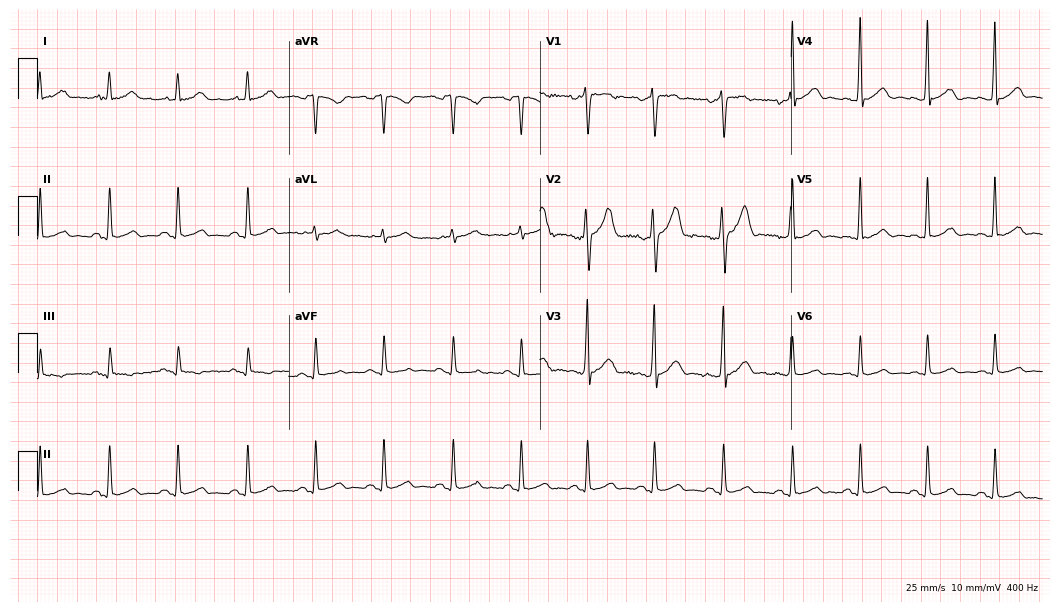
12-lead ECG from a 25-year-old man. Recorded interpretation: within normal limits.